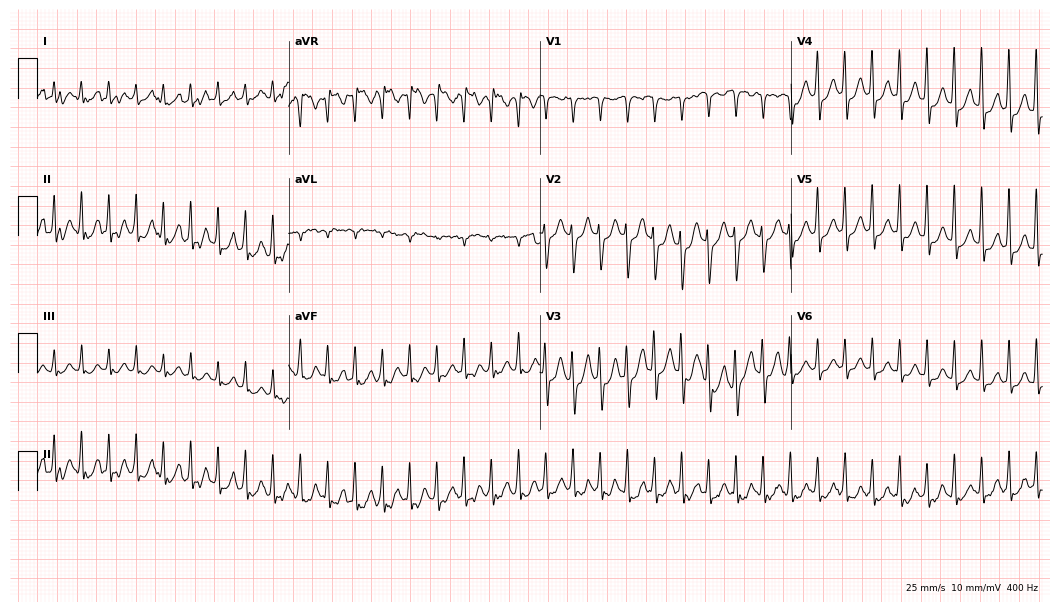
Standard 12-lead ECG recorded from a 36-year-old male patient. None of these six findings is recorded: first-degree AV block, right bundle branch block (RBBB), left bundle branch block (LBBB), sinus bradycardia, atrial fibrillation (AF), sinus tachycardia.